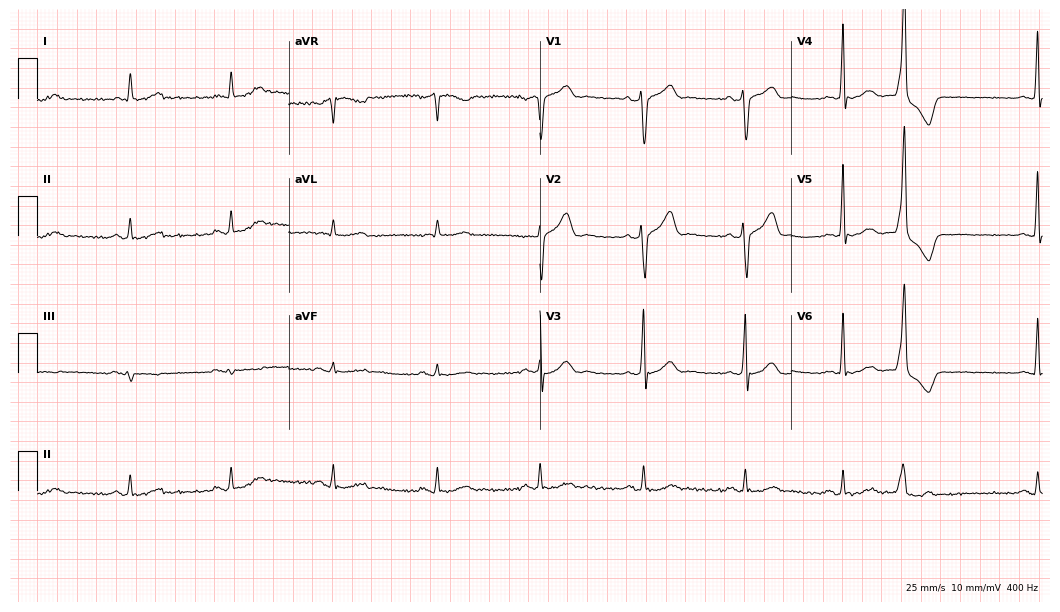
ECG (10.2-second recording at 400 Hz) — a 70-year-old male. Labelled as a normal ECG.